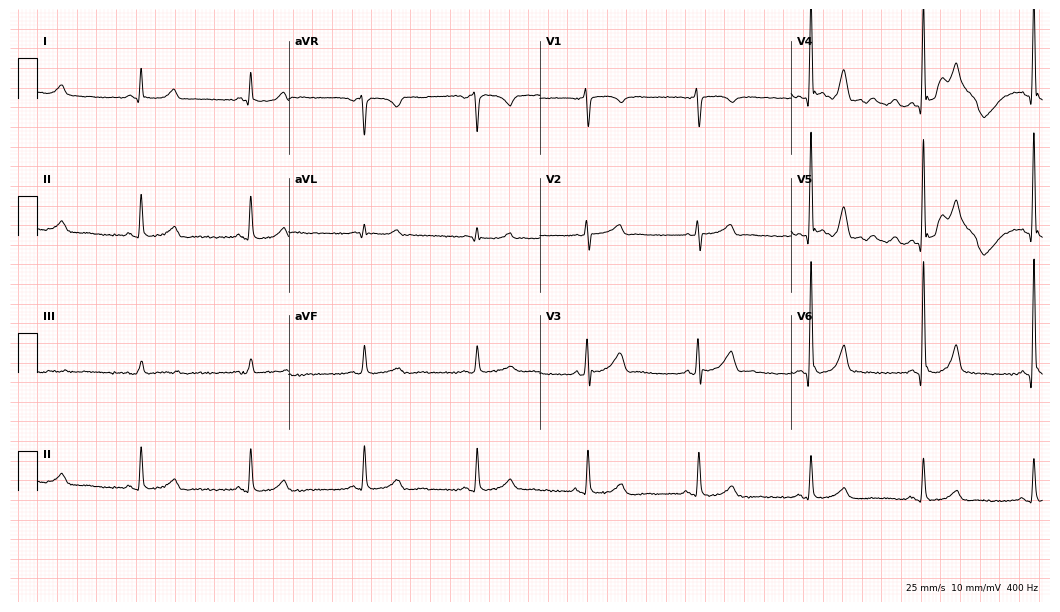
Standard 12-lead ECG recorded from a 67-year-old man (10.2-second recording at 400 Hz). None of these six findings is recorded: first-degree AV block, right bundle branch block (RBBB), left bundle branch block (LBBB), sinus bradycardia, atrial fibrillation (AF), sinus tachycardia.